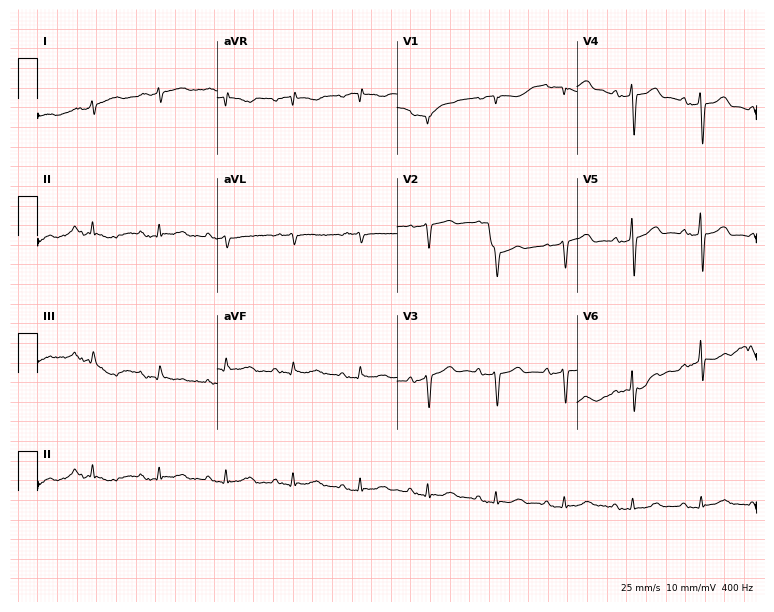
ECG (7.3-second recording at 400 Hz) — a 75-year-old male. Screened for six findings — first-degree AV block, right bundle branch block (RBBB), left bundle branch block (LBBB), sinus bradycardia, atrial fibrillation (AF), sinus tachycardia — none is recorded.